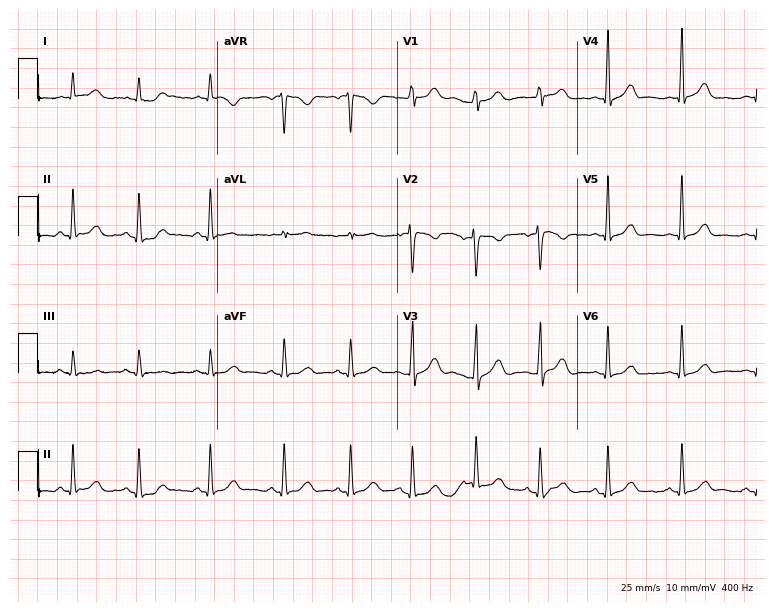
ECG — a woman, 36 years old. Labelled as a normal ECG.